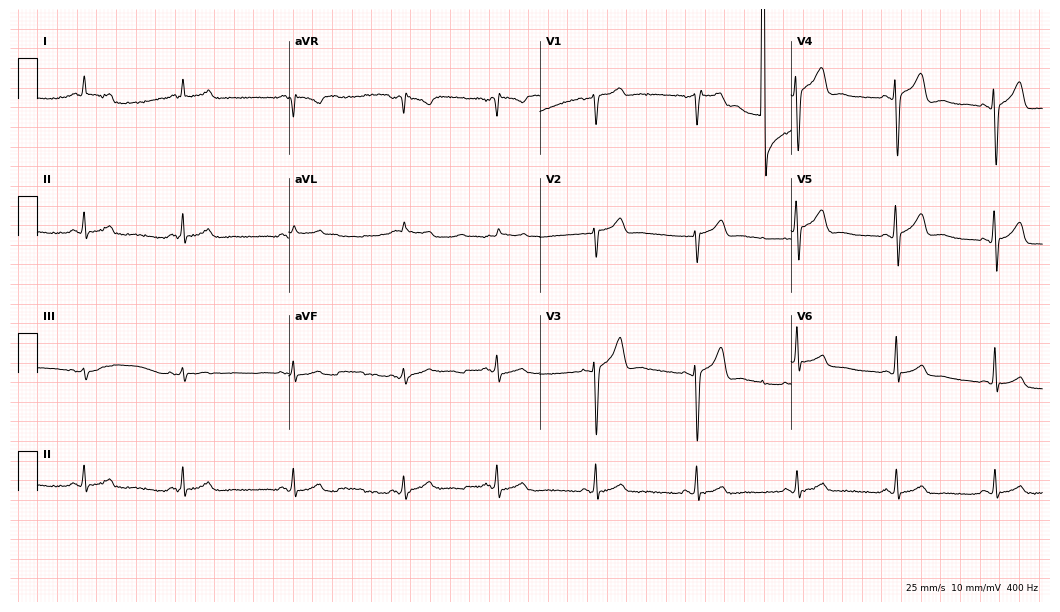
12-lead ECG (10.2-second recording at 400 Hz) from a male, 38 years old. Screened for six findings — first-degree AV block, right bundle branch block, left bundle branch block, sinus bradycardia, atrial fibrillation, sinus tachycardia — none is recorded.